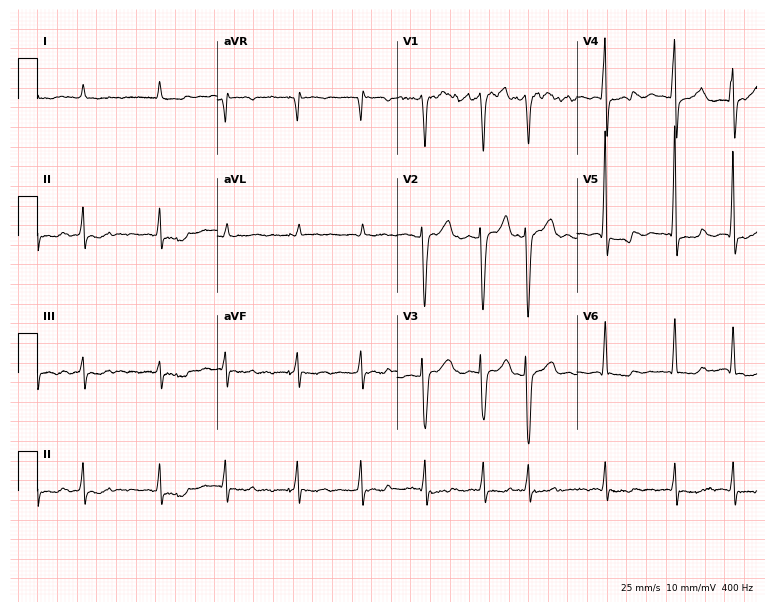
12-lead ECG (7.3-second recording at 400 Hz) from a male patient, 55 years old. Findings include atrial fibrillation.